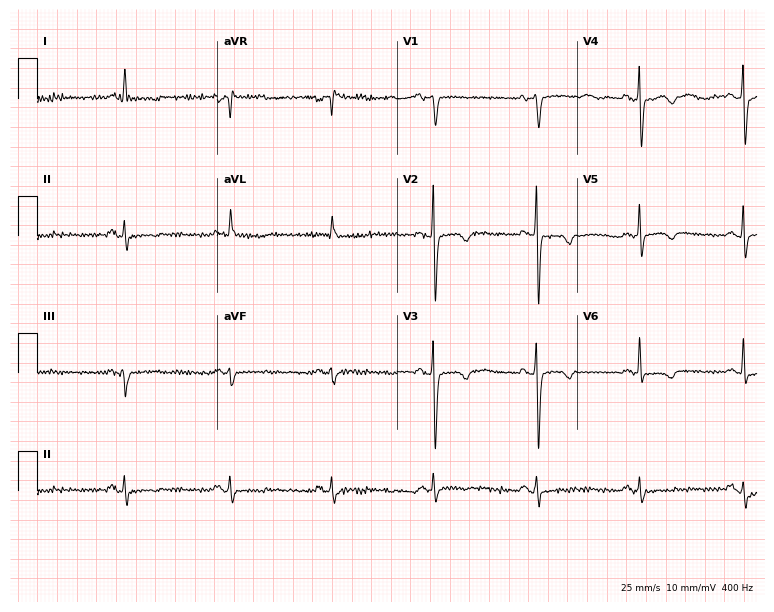
12-lead ECG (7.3-second recording at 400 Hz) from a 54-year-old woman. Screened for six findings — first-degree AV block, right bundle branch block, left bundle branch block, sinus bradycardia, atrial fibrillation, sinus tachycardia — none is recorded.